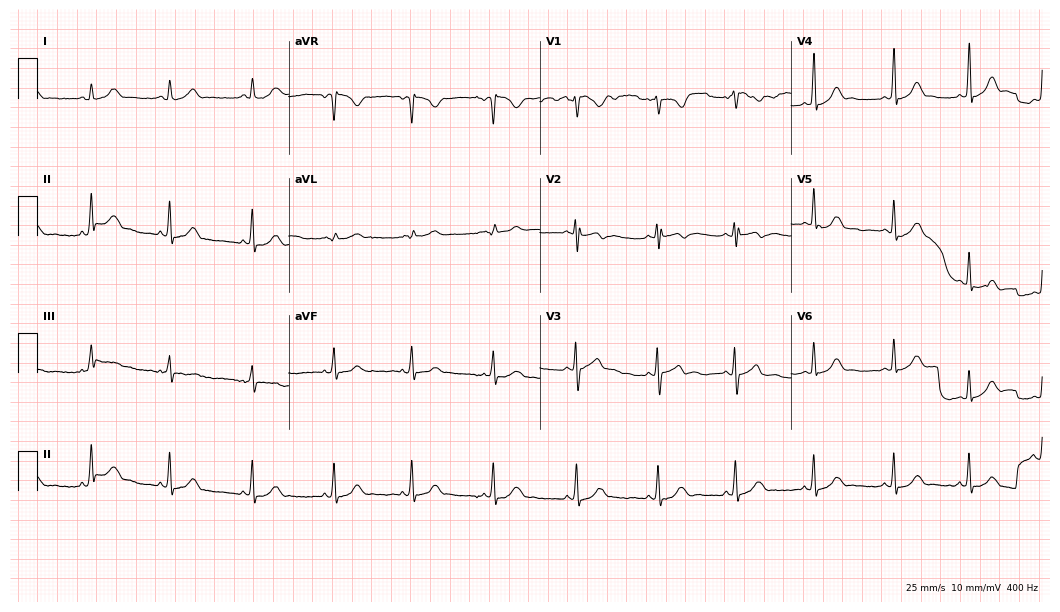
12-lead ECG from a female, 21 years old (10.2-second recording at 400 Hz). No first-degree AV block, right bundle branch block, left bundle branch block, sinus bradycardia, atrial fibrillation or sinus tachycardia recorded for this tracing. Only these six findings were labelled.